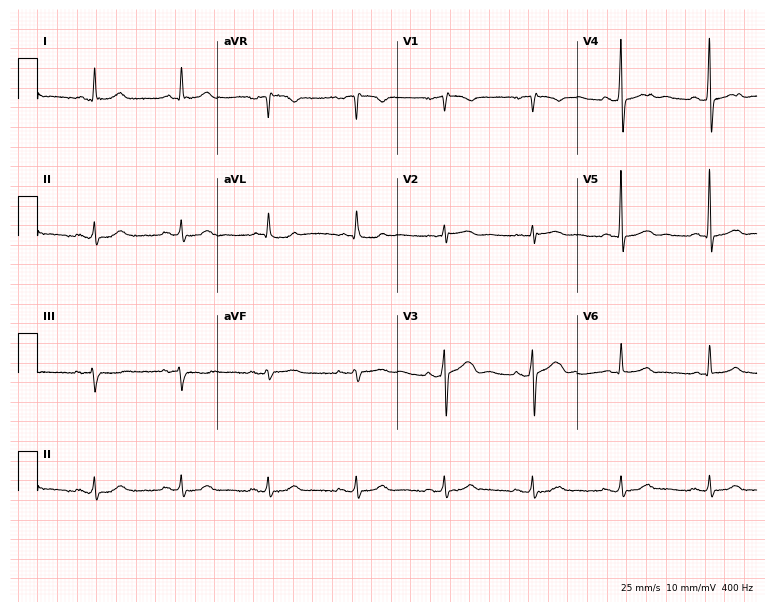
Resting 12-lead electrocardiogram (7.3-second recording at 400 Hz). Patient: a 70-year-old male. None of these six findings is recorded: first-degree AV block, right bundle branch block, left bundle branch block, sinus bradycardia, atrial fibrillation, sinus tachycardia.